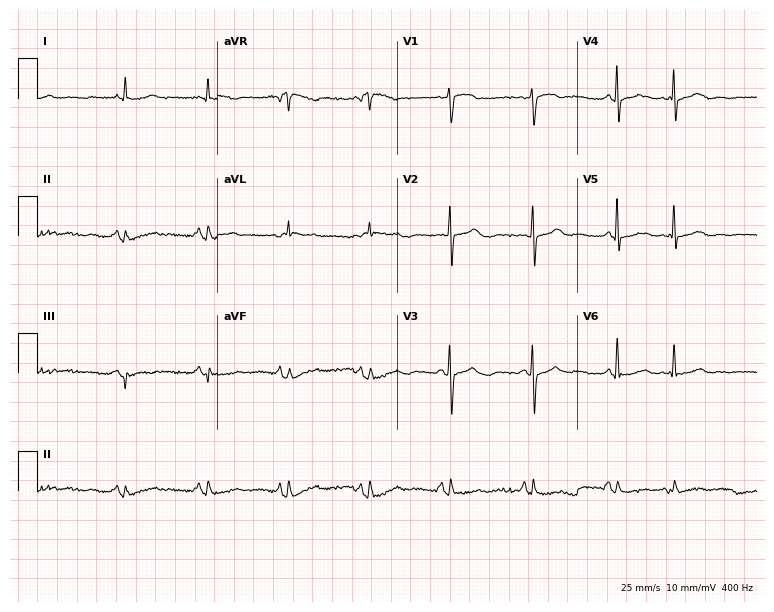
Resting 12-lead electrocardiogram (7.3-second recording at 400 Hz). Patient: an 85-year-old female. None of these six findings is recorded: first-degree AV block, right bundle branch block, left bundle branch block, sinus bradycardia, atrial fibrillation, sinus tachycardia. Findings outside these six are not listed.